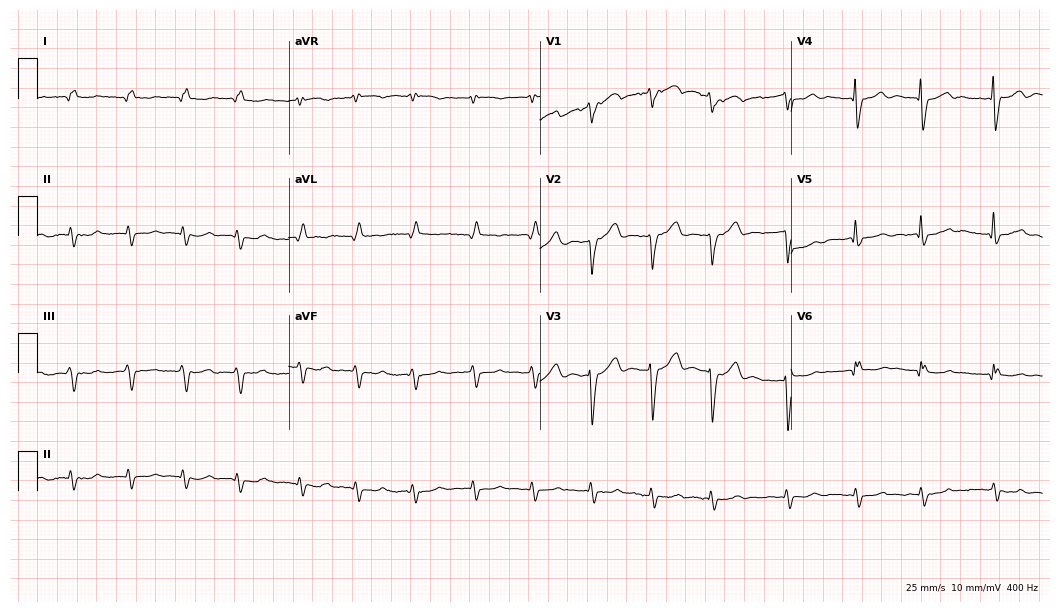
12-lead ECG from an 82-year-old male. Shows atrial fibrillation.